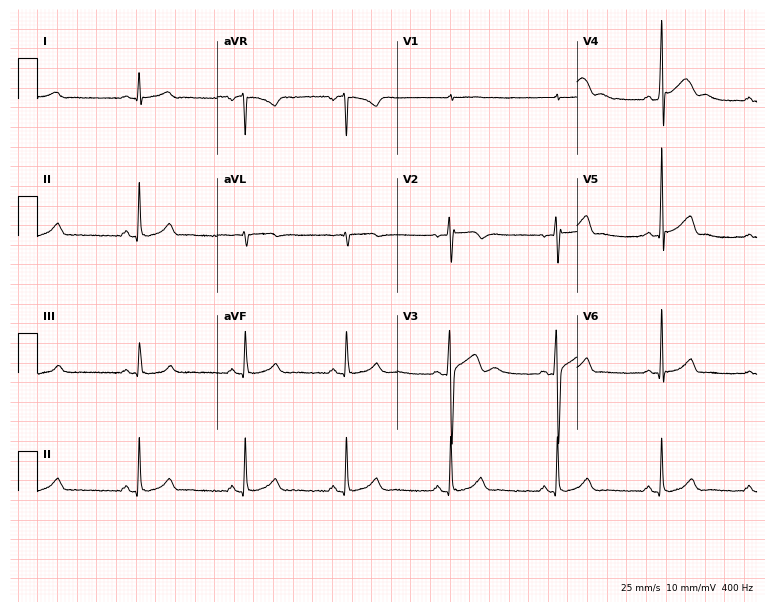
Standard 12-lead ECG recorded from a 20-year-old male patient (7.3-second recording at 400 Hz). Read as a normal ECG.